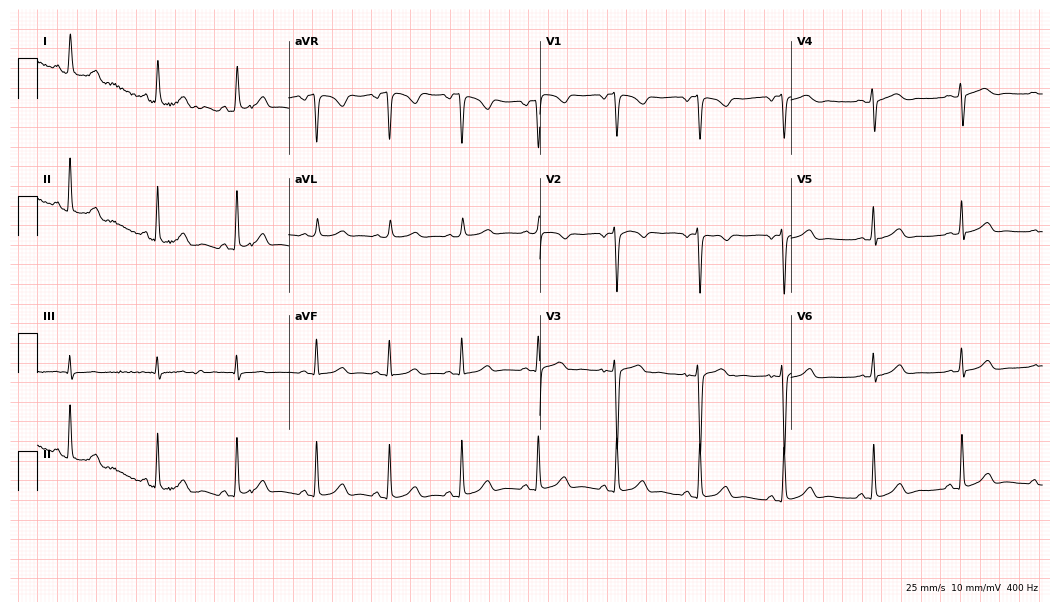
12-lead ECG from a woman, 20 years old. Recorded interpretation: within normal limits.